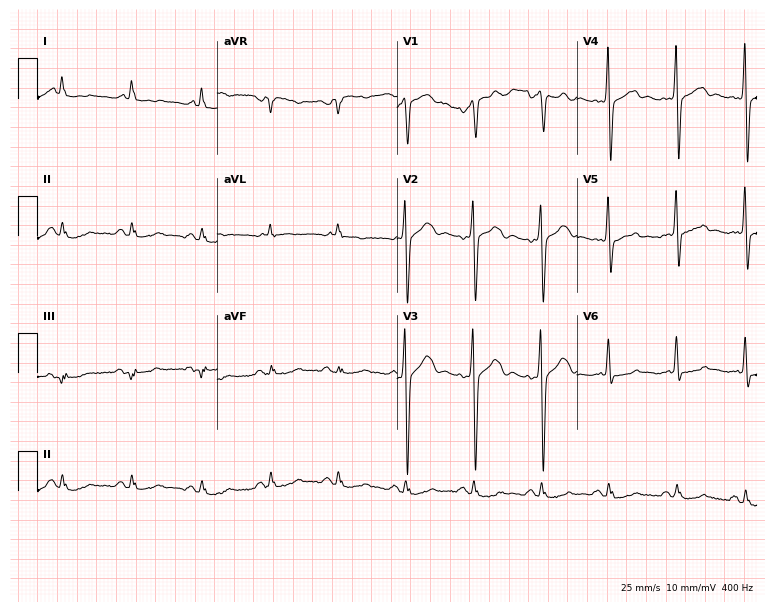
Resting 12-lead electrocardiogram. Patient: a 65-year-old man. None of these six findings is recorded: first-degree AV block, right bundle branch block, left bundle branch block, sinus bradycardia, atrial fibrillation, sinus tachycardia. Other findings, if any, are not listed.